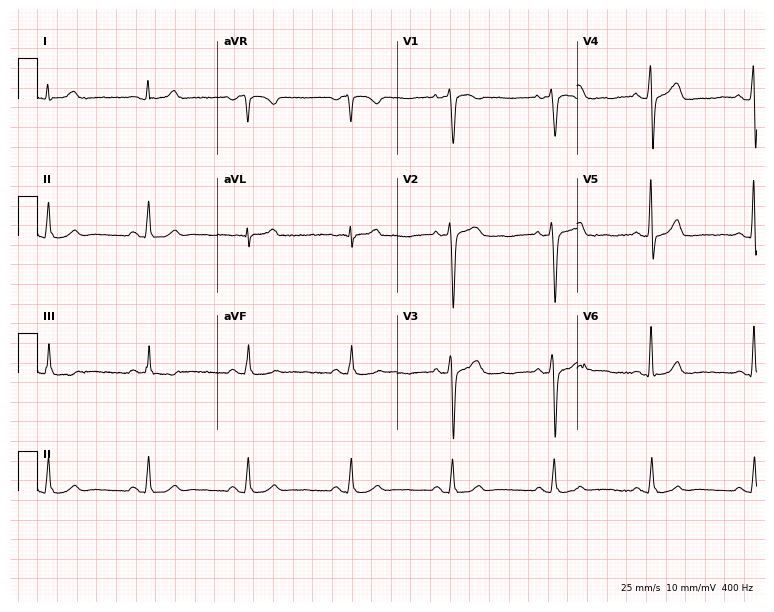
Electrocardiogram (7.3-second recording at 400 Hz), a male patient, 57 years old. Overall reading on record: normal ECG.